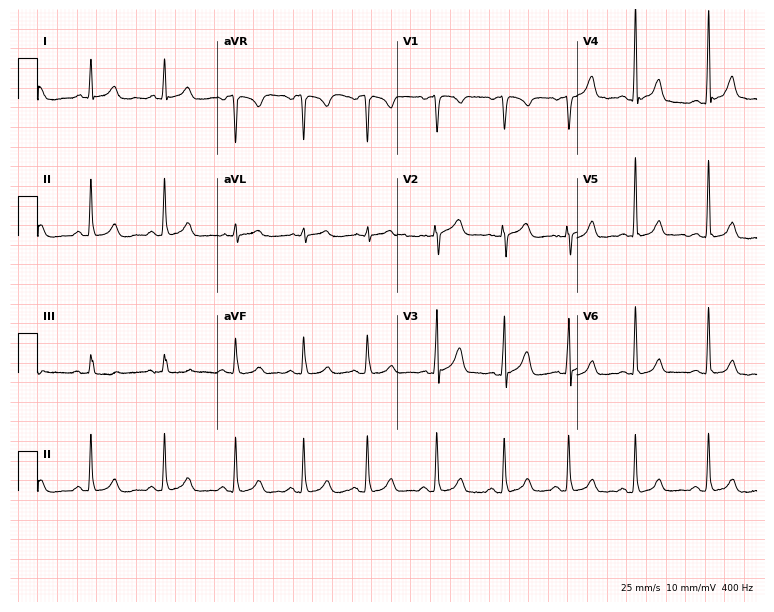
Standard 12-lead ECG recorded from a female patient, 38 years old. Read as a normal ECG.